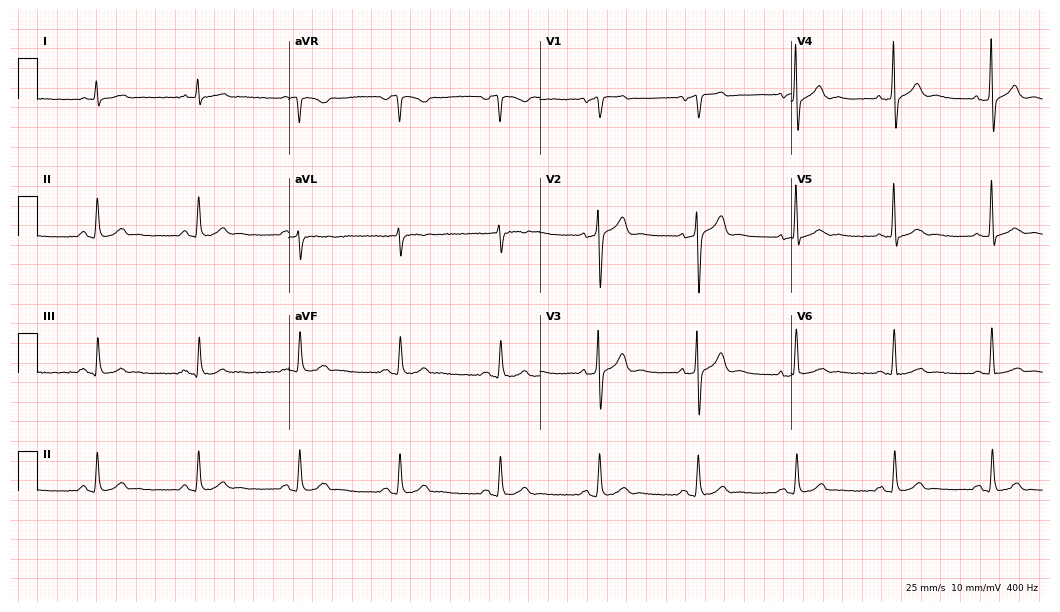
12-lead ECG from a 64-year-old male. No first-degree AV block, right bundle branch block (RBBB), left bundle branch block (LBBB), sinus bradycardia, atrial fibrillation (AF) or sinus tachycardia recorded for this tracing. Findings outside these six are not listed.